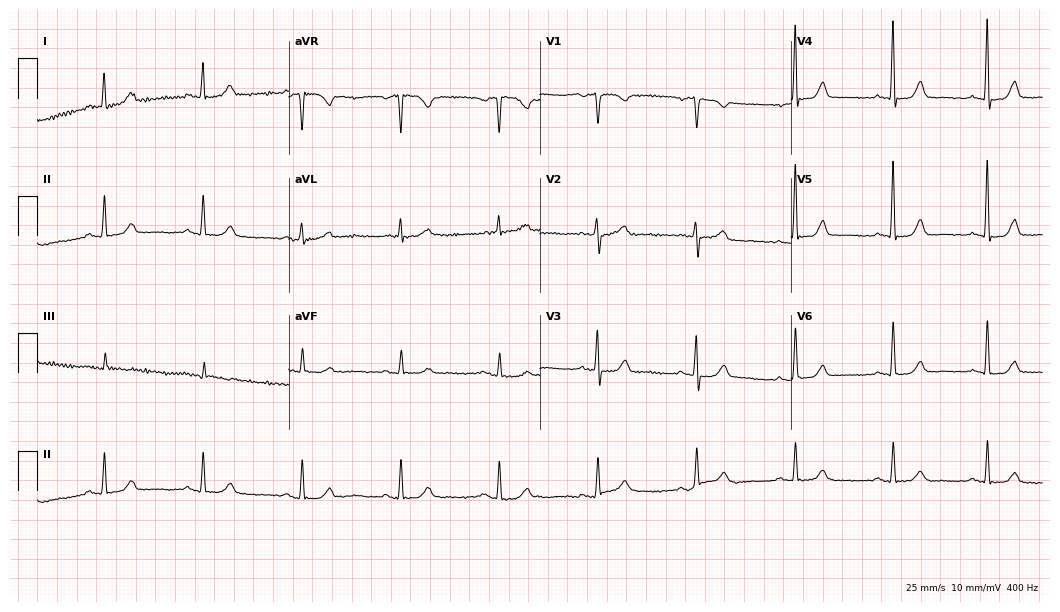
12-lead ECG from a 68-year-old female. Recorded interpretation: within normal limits.